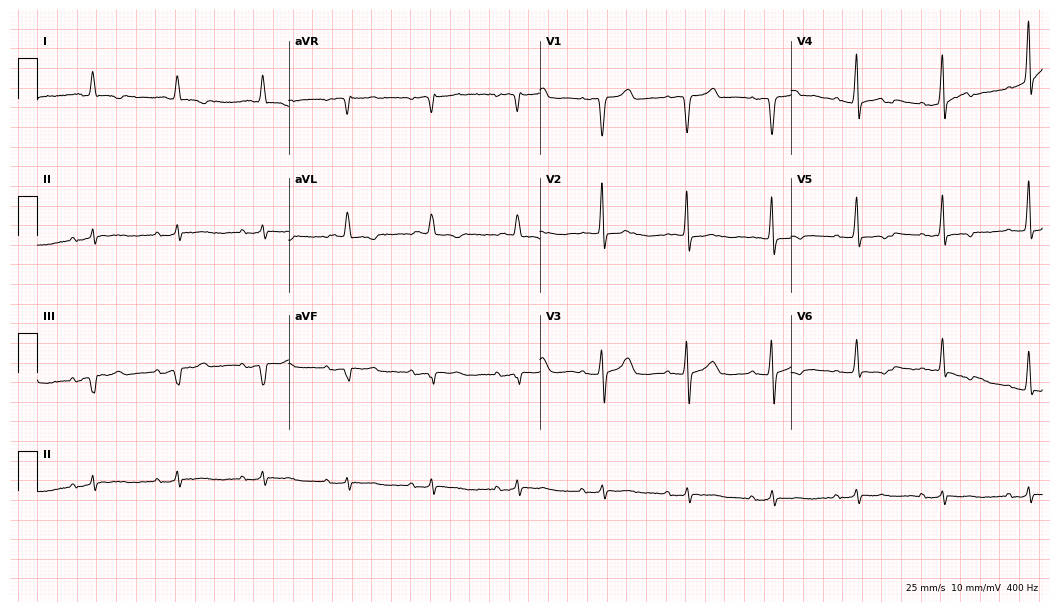
12-lead ECG (10.2-second recording at 400 Hz) from an 83-year-old male. Screened for six findings — first-degree AV block, right bundle branch block, left bundle branch block, sinus bradycardia, atrial fibrillation, sinus tachycardia — none is recorded. Findings outside these six are not listed.